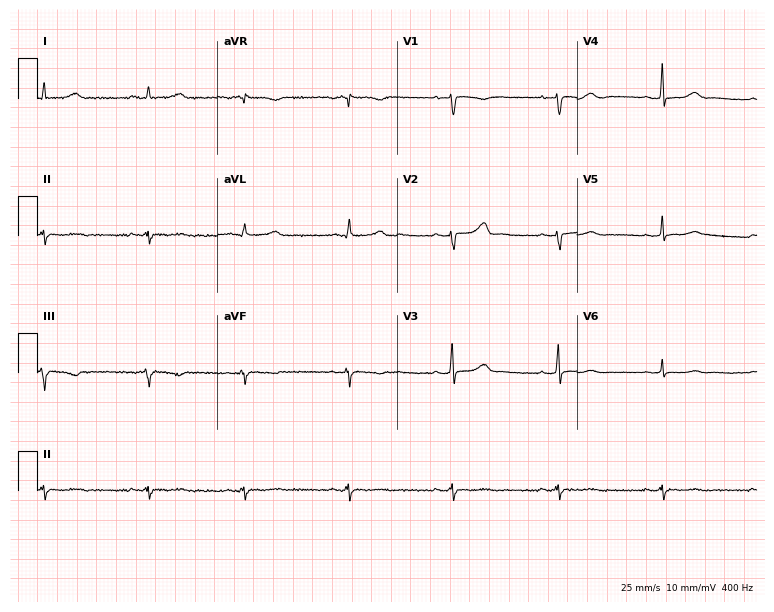
Resting 12-lead electrocardiogram. Patient: a 51-year-old female. None of these six findings is recorded: first-degree AV block, right bundle branch block, left bundle branch block, sinus bradycardia, atrial fibrillation, sinus tachycardia.